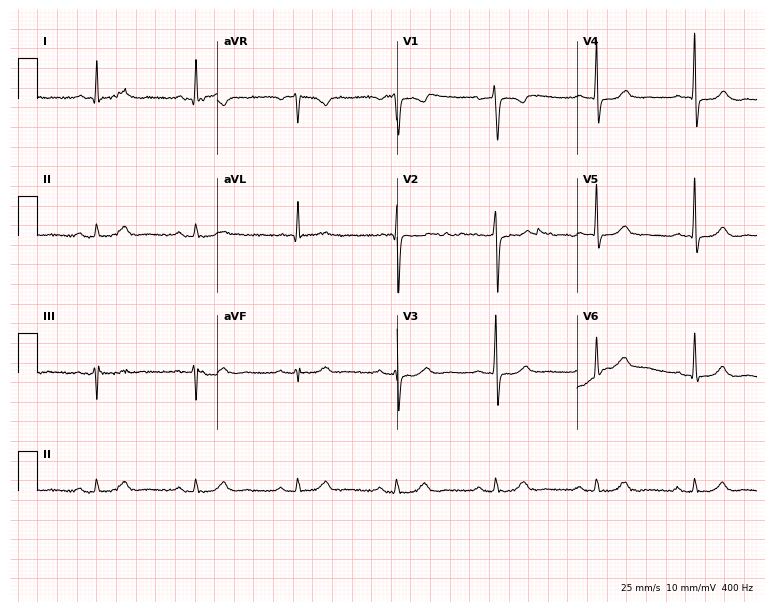
12-lead ECG (7.3-second recording at 400 Hz) from a 66-year-old male patient. Labelled as a normal ECG.